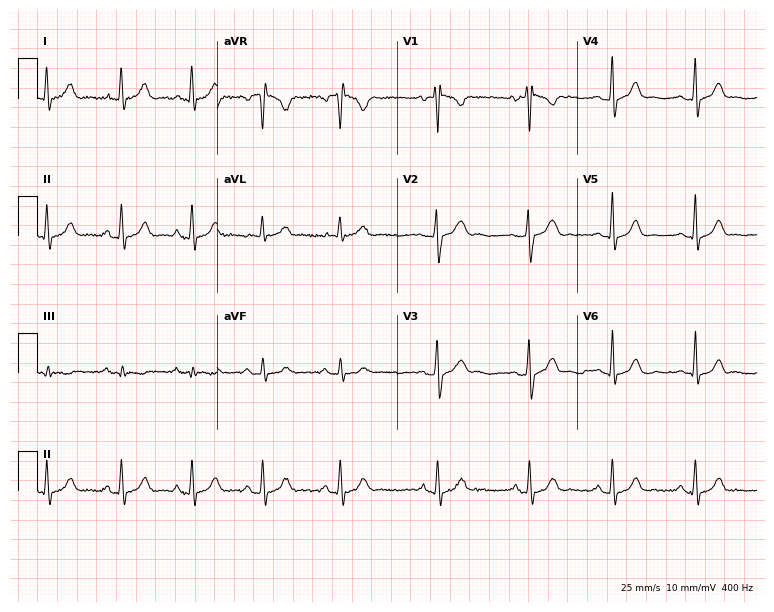
Electrocardiogram, a male patient, 27 years old. Of the six screened findings (first-degree AV block, right bundle branch block, left bundle branch block, sinus bradycardia, atrial fibrillation, sinus tachycardia), none is recorded. Other findings, if any, are not listed.